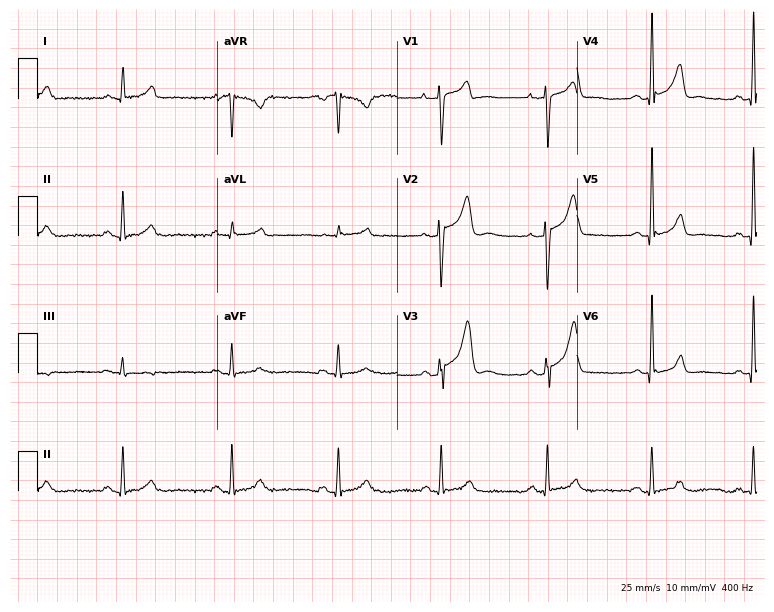
ECG — a 44-year-old male patient. Screened for six findings — first-degree AV block, right bundle branch block (RBBB), left bundle branch block (LBBB), sinus bradycardia, atrial fibrillation (AF), sinus tachycardia — none is recorded. Only these six findings were labelled.